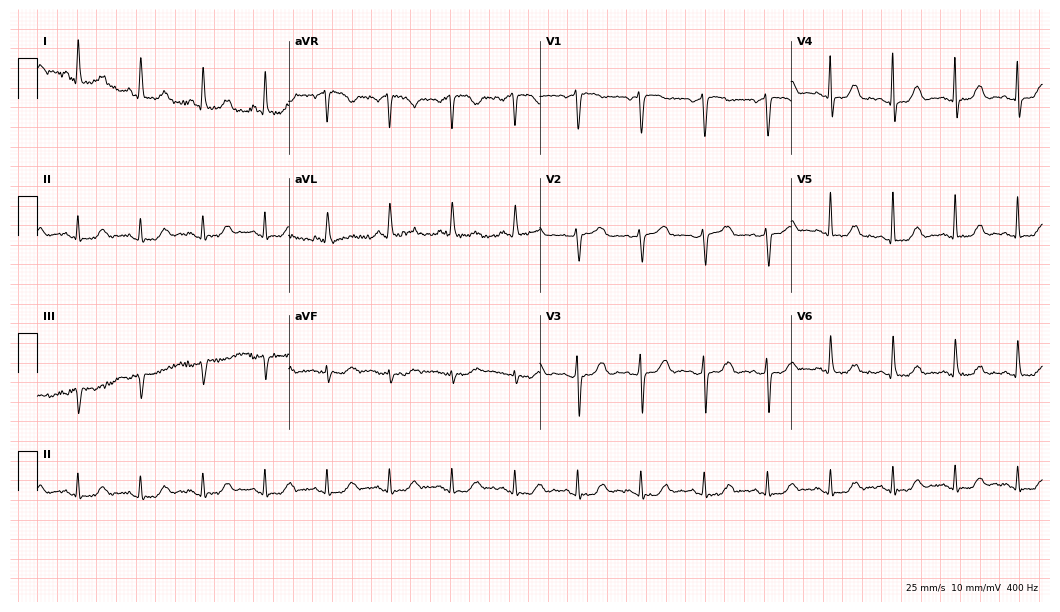
ECG — a woman, 69 years old. Screened for six findings — first-degree AV block, right bundle branch block (RBBB), left bundle branch block (LBBB), sinus bradycardia, atrial fibrillation (AF), sinus tachycardia — none is recorded.